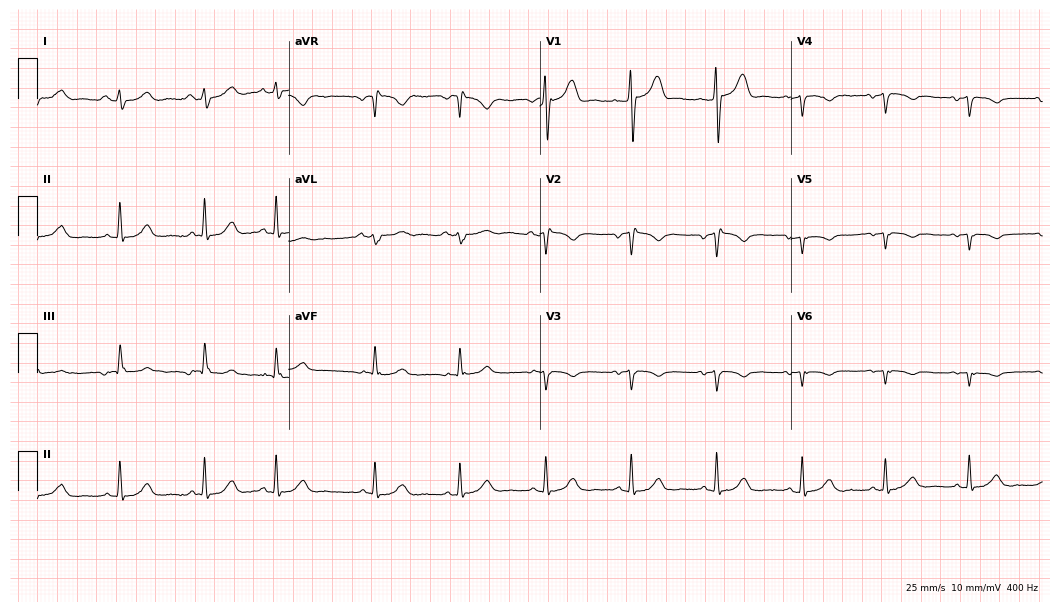
12-lead ECG from a male patient, 74 years old. No first-degree AV block, right bundle branch block, left bundle branch block, sinus bradycardia, atrial fibrillation or sinus tachycardia recorded for this tracing. Findings outside these six are not listed.